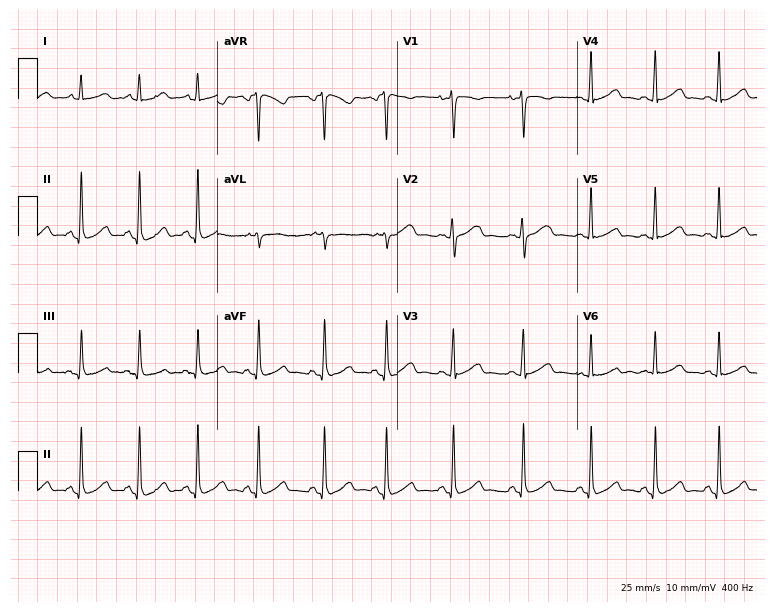
12-lead ECG from a female patient, 27 years old (7.3-second recording at 400 Hz). Recorded interpretation: within normal limits.